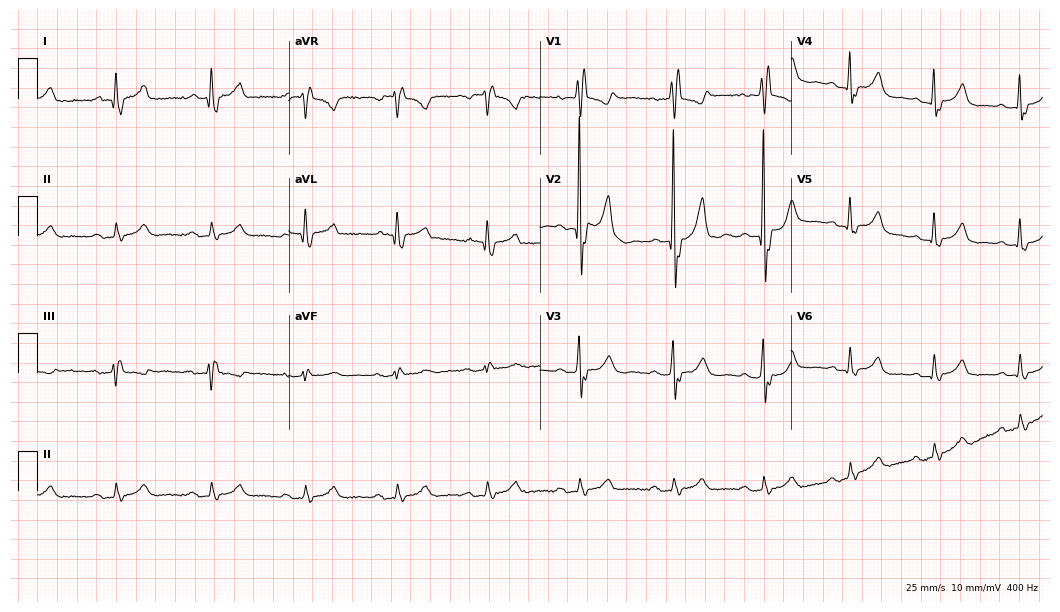
Resting 12-lead electrocardiogram (10.2-second recording at 400 Hz). Patient: a 74-year-old woman. The tracing shows right bundle branch block.